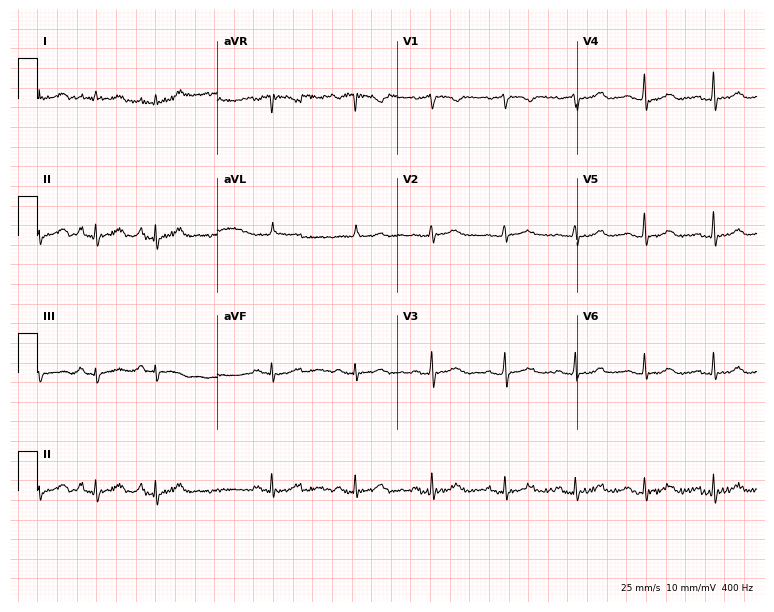
Standard 12-lead ECG recorded from a woman, 34 years old (7.3-second recording at 400 Hz). None of these six findings is recorded: first-degree AV block, right bundle branch block, left bundle branch block, sinus bradycardia, atrial fibrillation, sinus tachycardia. Other findings, if any, are not listed.